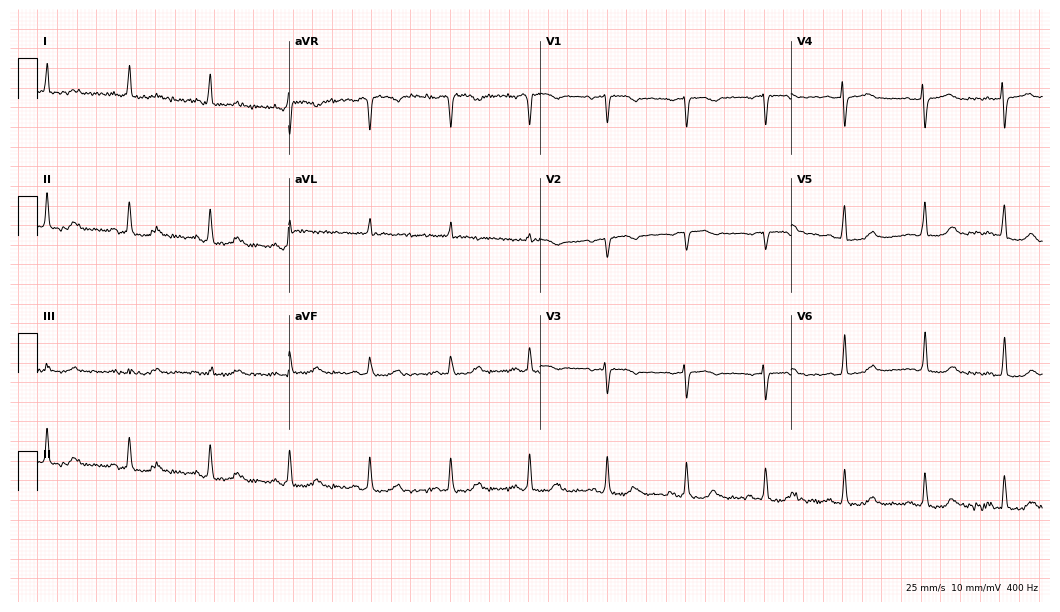
12-lead ECG from an 83-year-old woman (10.2-second recording at 400 Hz). No first-degree AV block, right bundle branch block, left bundle branch block, sinus bradycardia, atrial fibrillation or sinus tachycardia recorded for this tracing. Other findings, if any, are not listed.